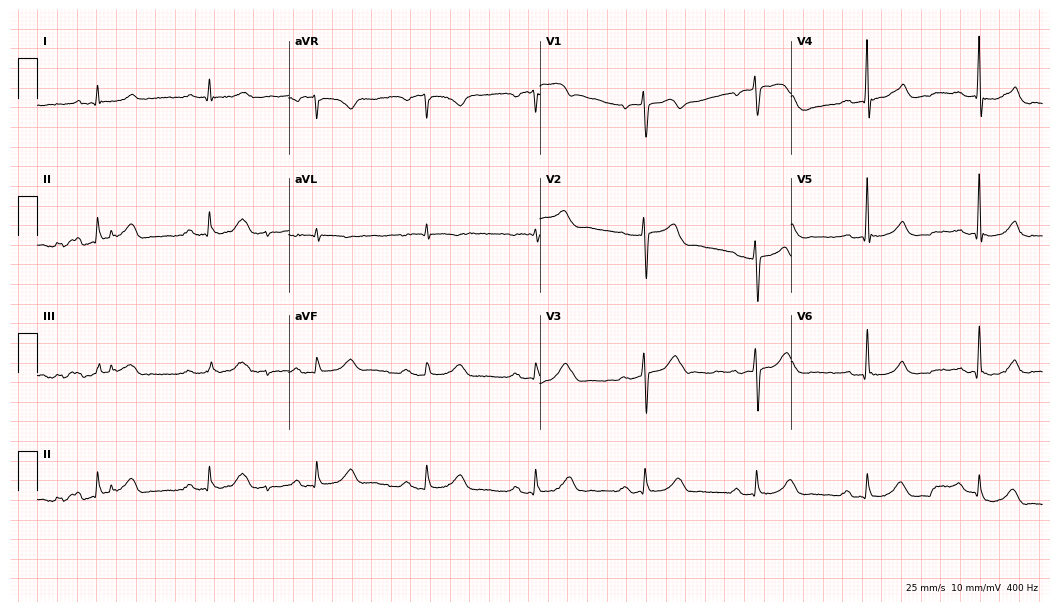
ECG (10.2-second recording at 400 Hz) — a 70-year-old male patient. Screened for six findings — first-degree AV block, right bundle branch block, left bundle branch block, sinus bradycardia, atrial fibrillation, sinus tachycardia — none is recorded.